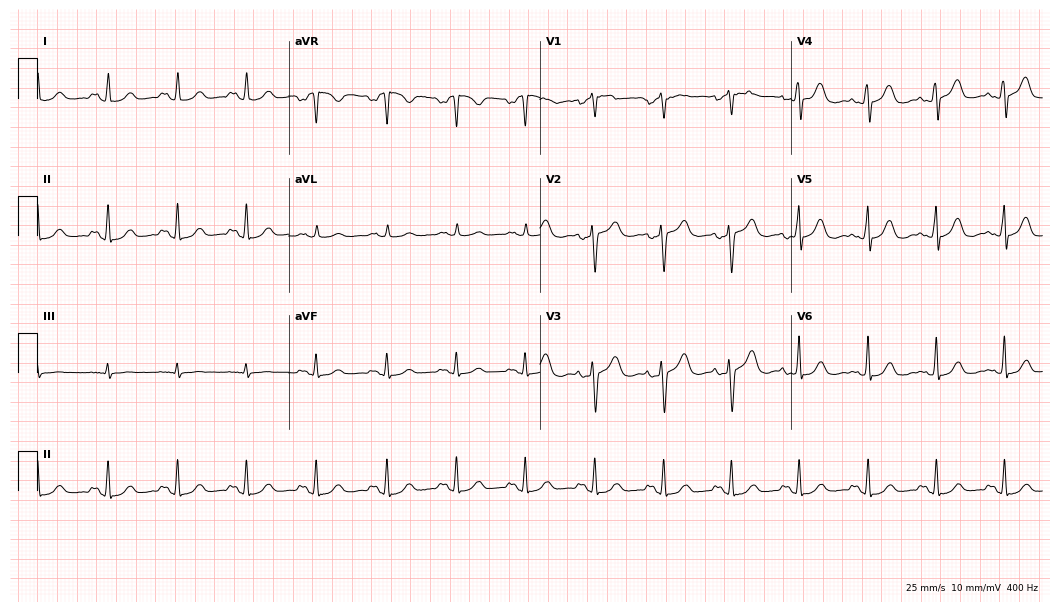
ECG (10.2-second recording at 400 Hz) — a 53-year-old woman. Screened for six findings — first-degree AV block, right bundle branch block (RBBB), left bundle branch block (LBBB), sinus bradycardia, atrial fibrillation (AF), sinus tachycardia — none is recorded. Only these six findings were labelled.